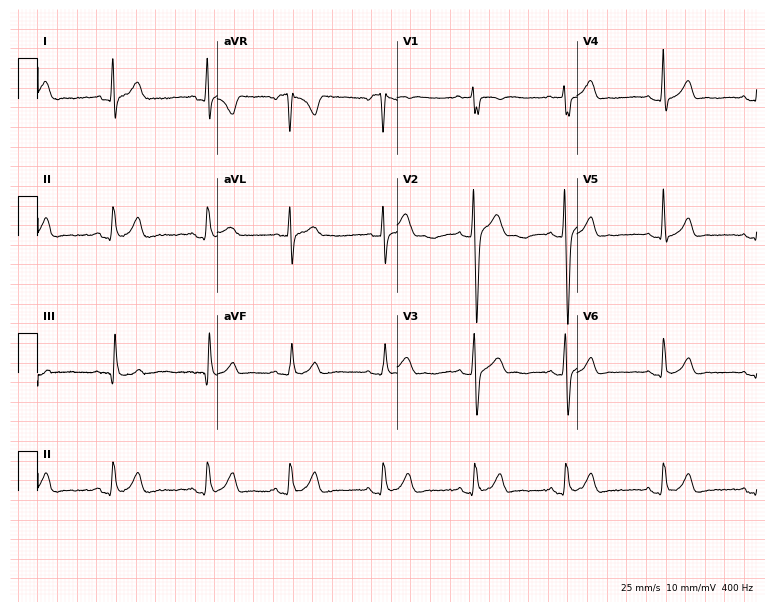
Standard 12-lead ECG recorded from a 24-year-old man. Read as a normal ECG.